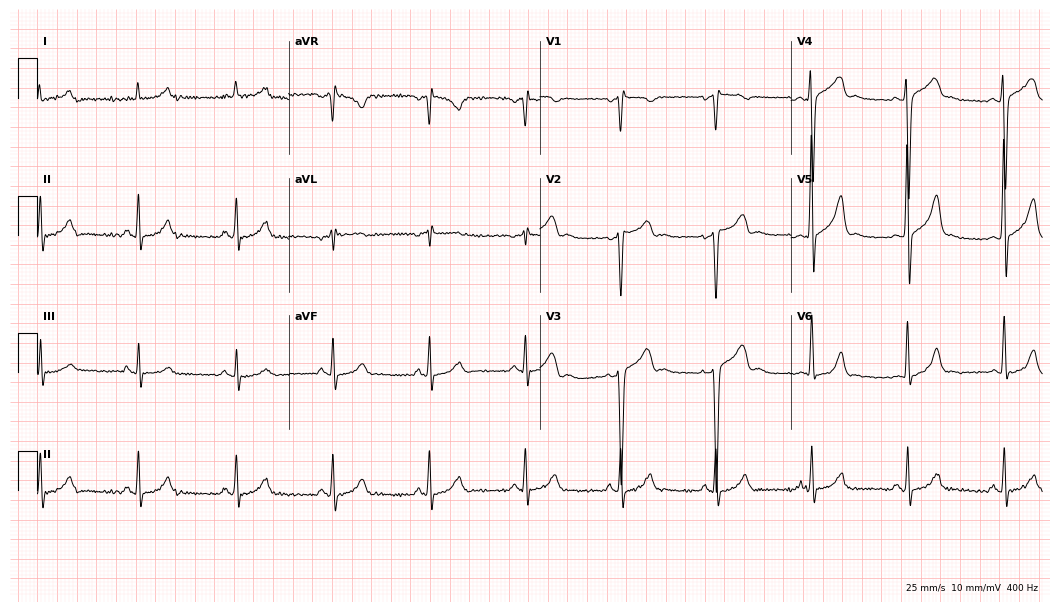
Electrocardiogram, a 54-year-old woman. Overall reading on record: normal ECG.